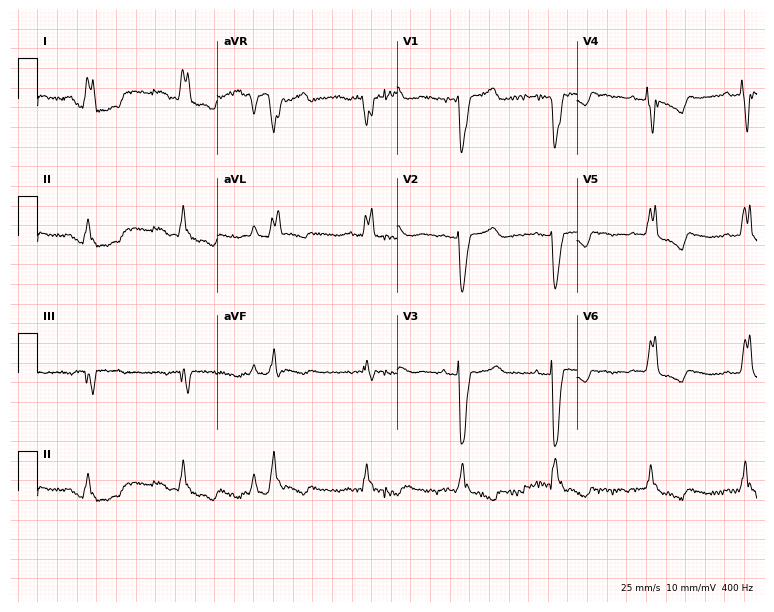
12-lead ECG from a female patient, 80 years old (7.3-second recording at 400 Hz). No first-degree AV block, right bundle branch block, left bundle branch block, sinus bradycardia, atrial fibrillation or sinus tachycardia recorded for this tracing.